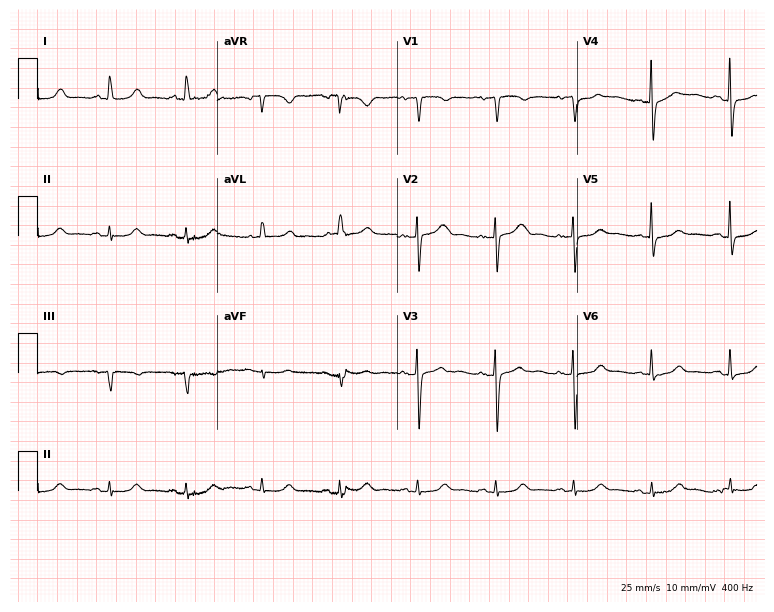
12-lead ECG (7.3-second recording at 400 Hz) from a 75-year-old woman. Labelled as a normal ECG.